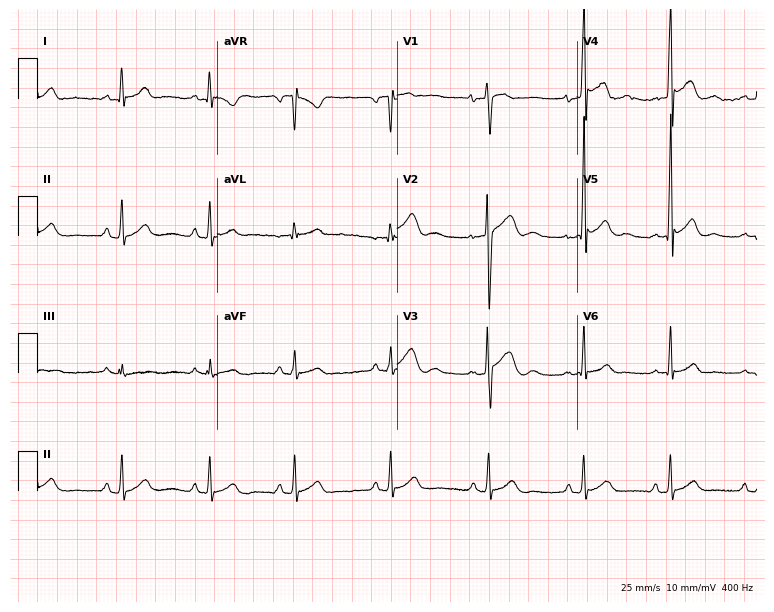
Electrocardiogram, a male patient, 20 years old. Of the six screened findings (first-degree AV block, right bundle branch block, left bundle branch block, sinus bradycardia, atrial fibrillation, sinus tachycardia), none is recorded.